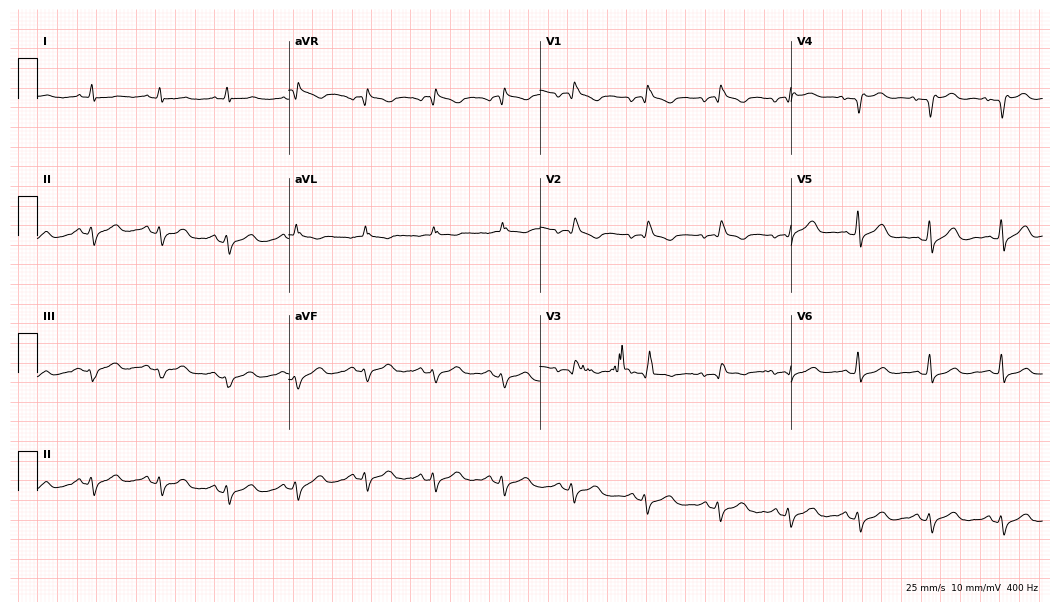
Standard 12-lead ECG recorded from a 53-year-old female patient. None of these six findings is recorded: first-degree AV block, right bundle branch block, left bundle branch block, sinus bradycardia, atrial fibrillation, sinus tachycardia. Only these six findings were labelled.